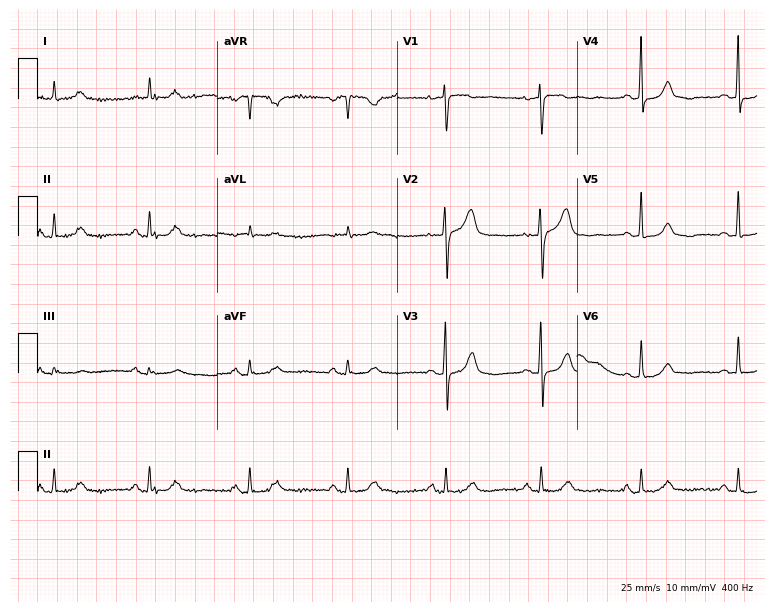
Electrocardiogram (7.3-second recording at 400 Hz), an 85-year-old woman. Of the six screened findings (first-degree AV block, right bundle branch block, left bundle branch block, sinus bradycardia, atrial fibrillation, sinus tachycardia), none is recorded. Only these six findings were labelled.